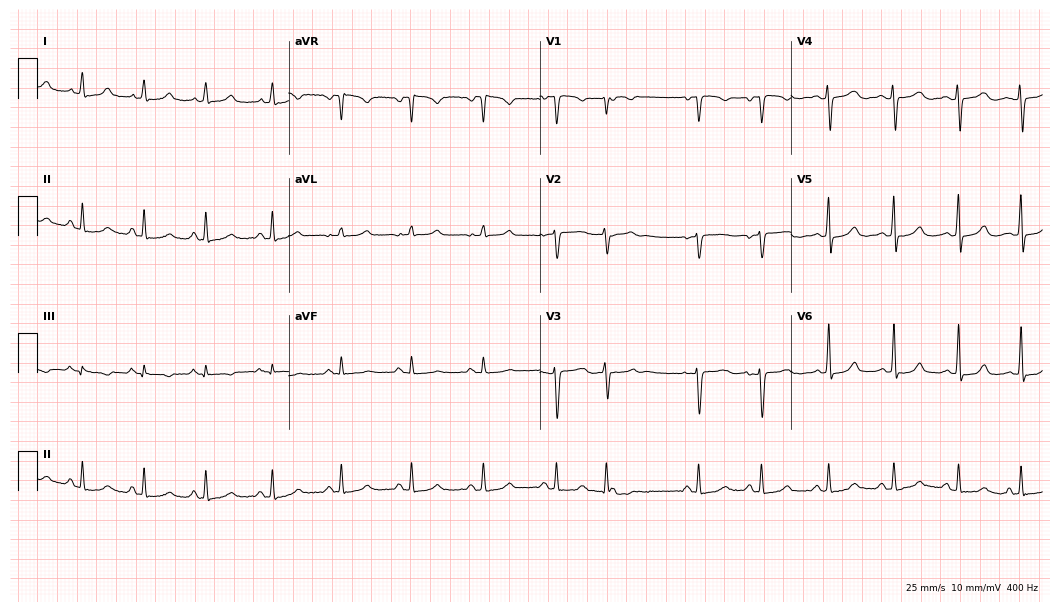
ECG — a 35-year-old woman. Labelled as a normal ECG.